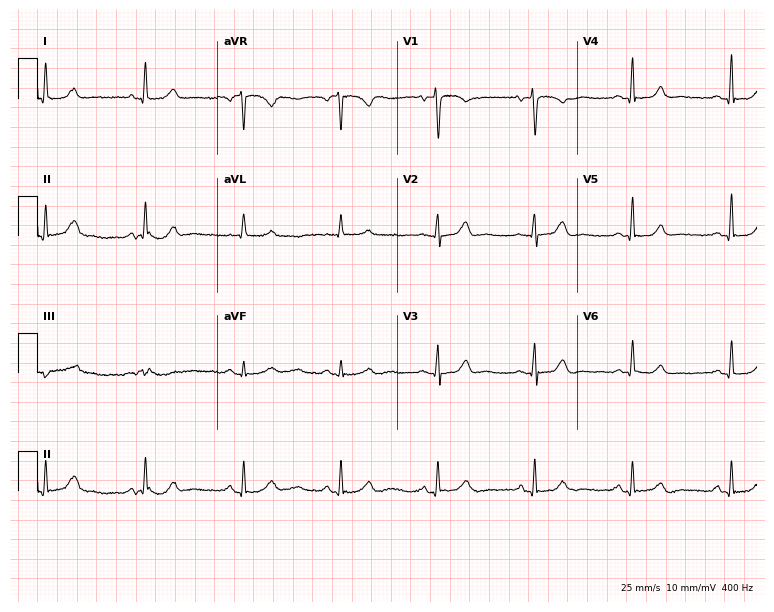
12-lead ECG from a 63-year-old woman. Labelled as a normal ECG.